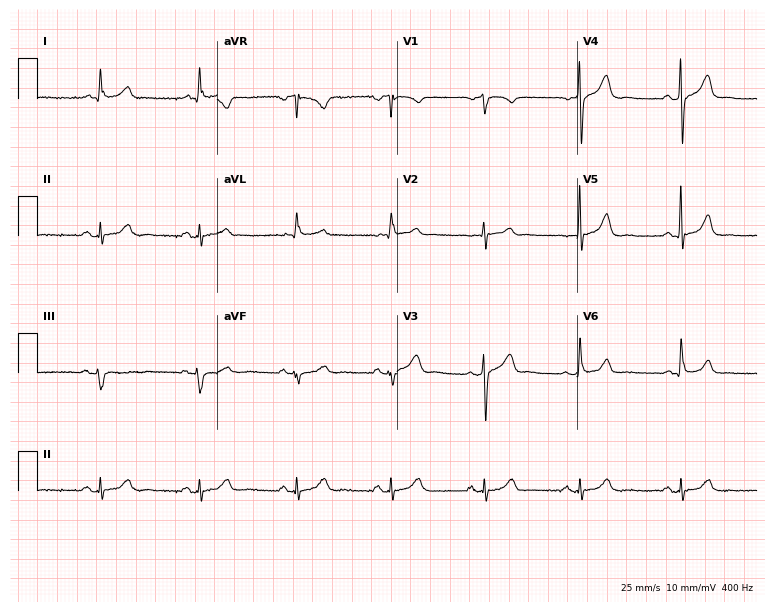
12-lead ECG from a man, 65 years old. Labelled as a normal ECG.